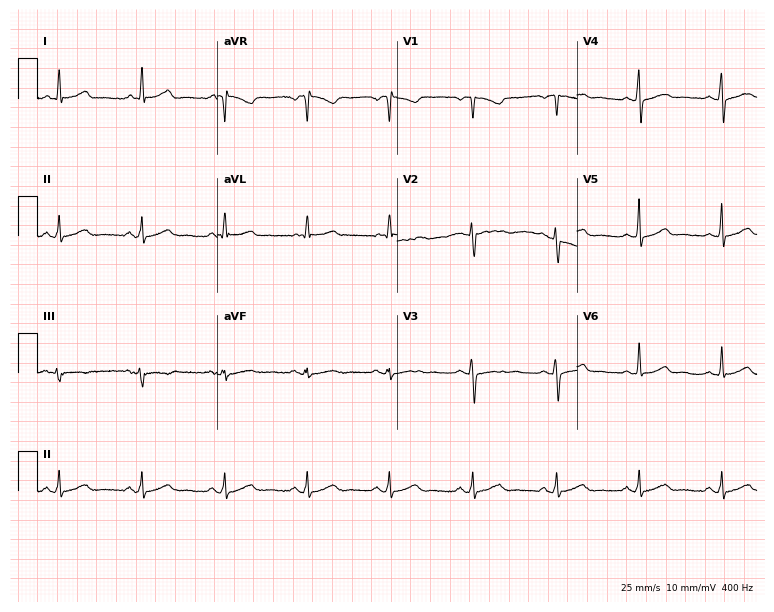
ECG — a 44-year-old female. Screened for six findings — first-degree AV block, right bundle branch block (RBBB), left bundle branch block (LBBB), sinus bradycardia, atrial fibrillation (AF), sinus tachycardia — none is recorded.